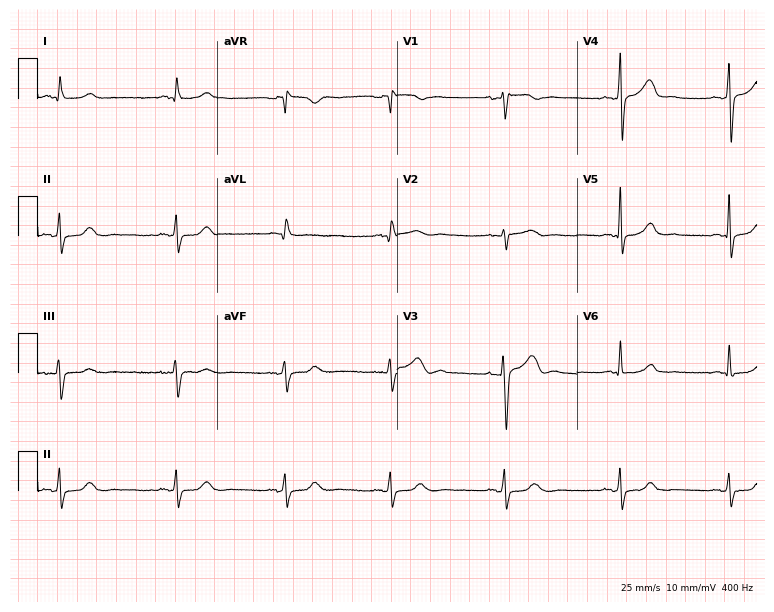
Standard 12-lead ECG recorded from a female, 49 years old (7.3-second recording at 400 Hz). Read as a normal ECG.